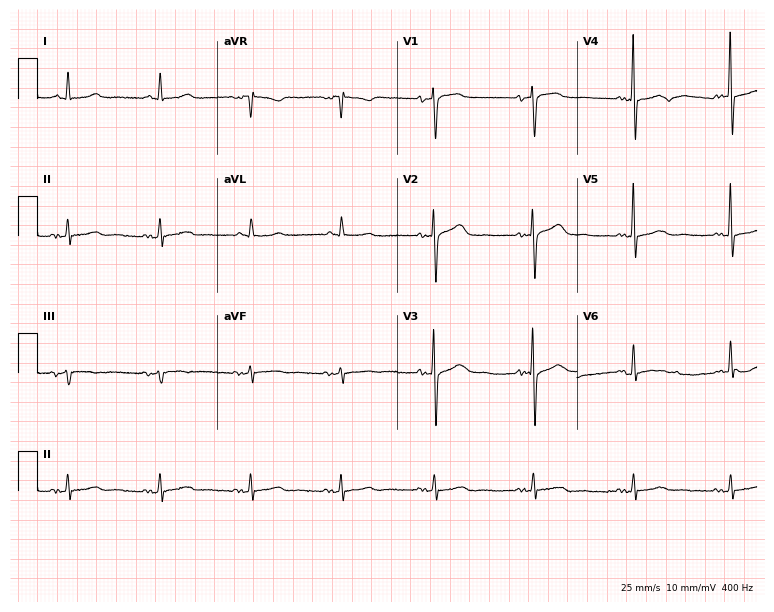
Resting 12-lead electrocardiogram (7.3-second recording at 400 Hz). Patient: a female, 84 years old. None of these six findings is recorded: first-degree AV block, right bundle branch block, left bundle branch block, sinus bradycardia, atrial fibrillation, sinus tachycardia. Other findings, if any, are not listed.